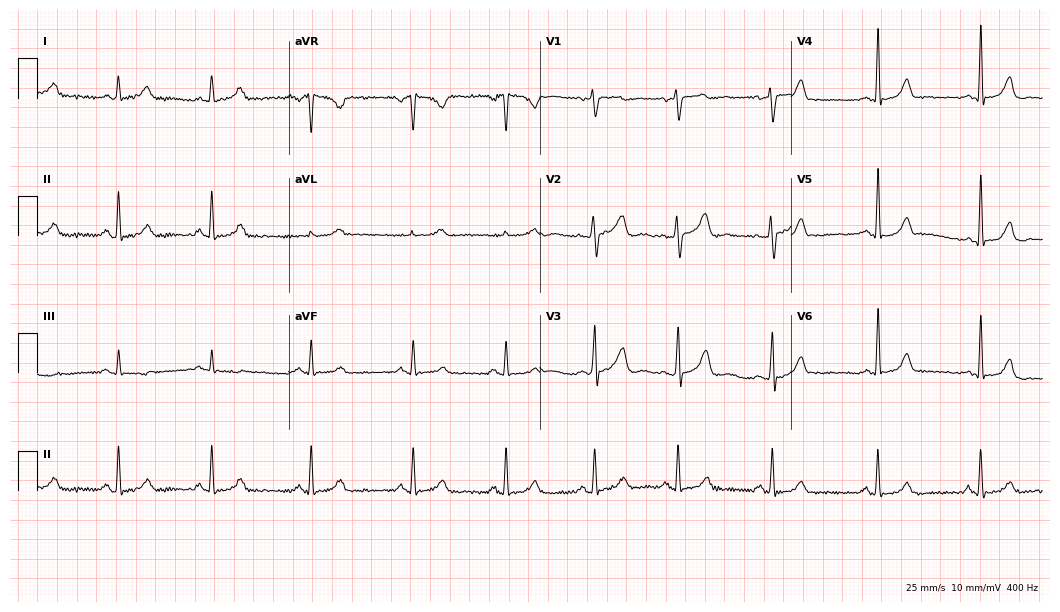
ECG — a female, 46 years old. Labelled as a normal ECG.